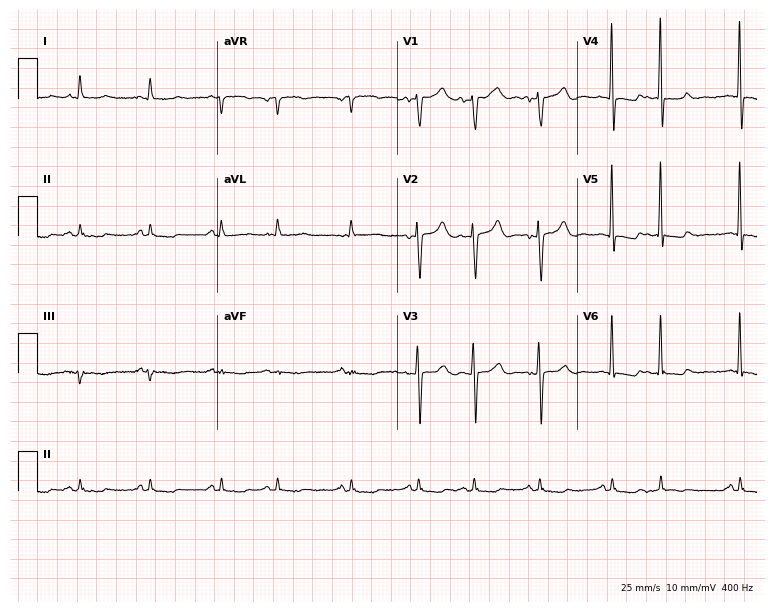
12-lead ECG (7.3-second recording at 400 Hz) from a 72-year-old male. Screened for six findings — first-degree AV block, right bundle branch block, left bundle branch block, sinus bradycardia, atrial fibrillation, sinus tachycardia — none is recorded. Only these six findings were labelled.